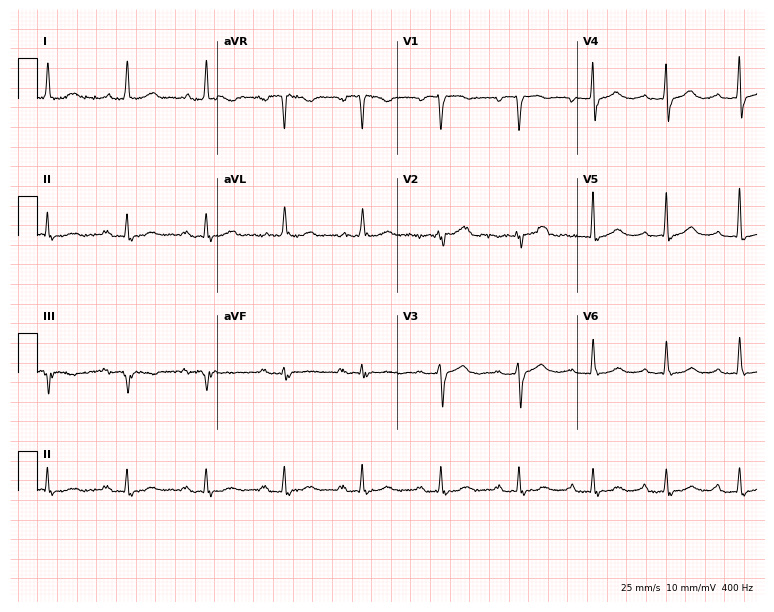
Standard 12-lead ECG recorded from a female patient, 81 years old. Read as a normal ECG.